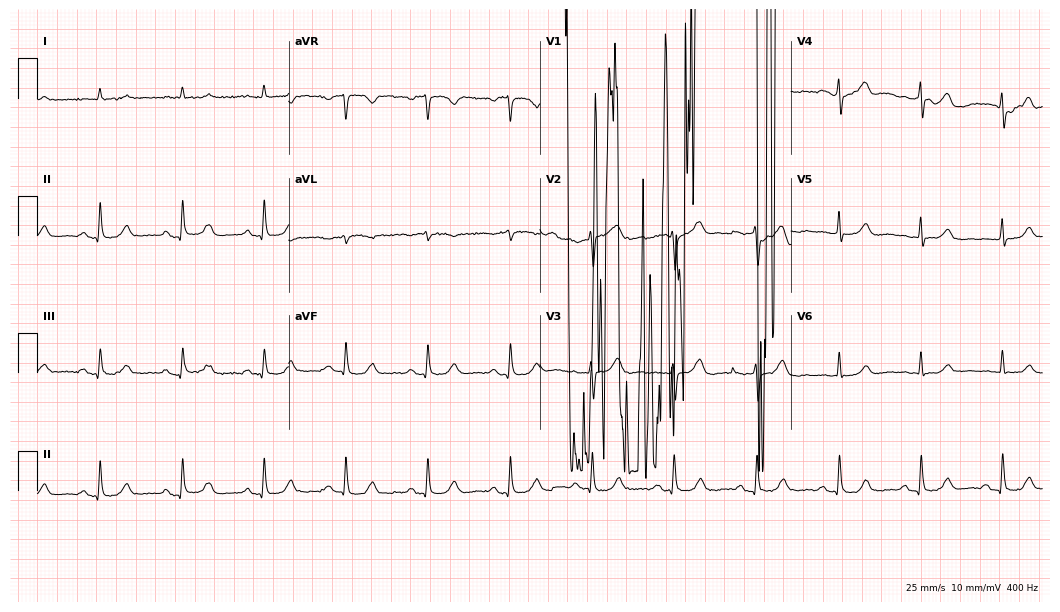
12-lead ECG from a male patient, 79 years old. No first-degree AV block, right bundle branch block, left bundle branch block, sinus bradycardia, atrial fibrillation or sinus tachycardia recorded for this tracing. Only these six findings were labelled.